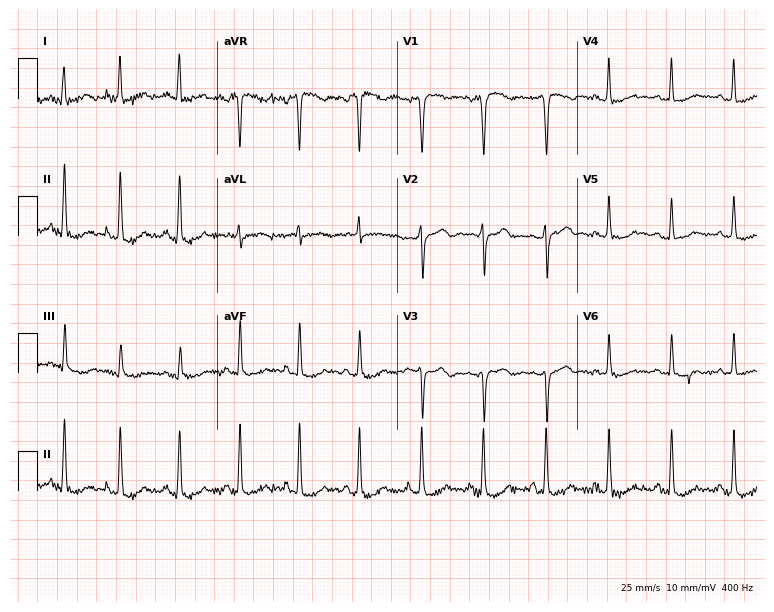
12-lead ECG (7.3-second recording at 400 Hz) from a female, 30 years old. Labelled as a normal ECG.